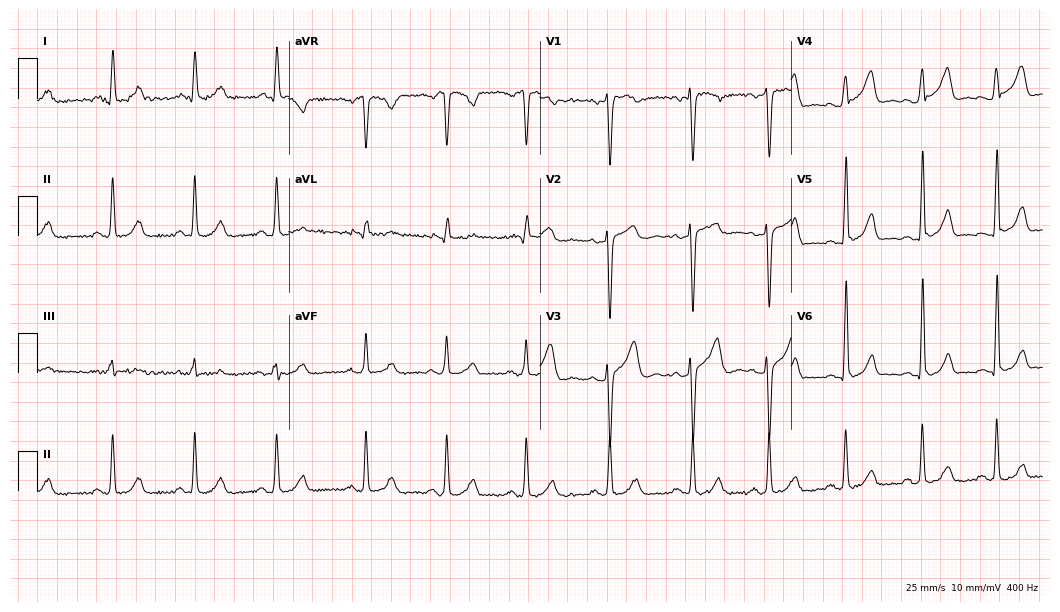
Resting 12-lead electrocardiogram (10.2-second recording at 400 Hz). Patient: a 30-year-old male. Read as a normal ECG.